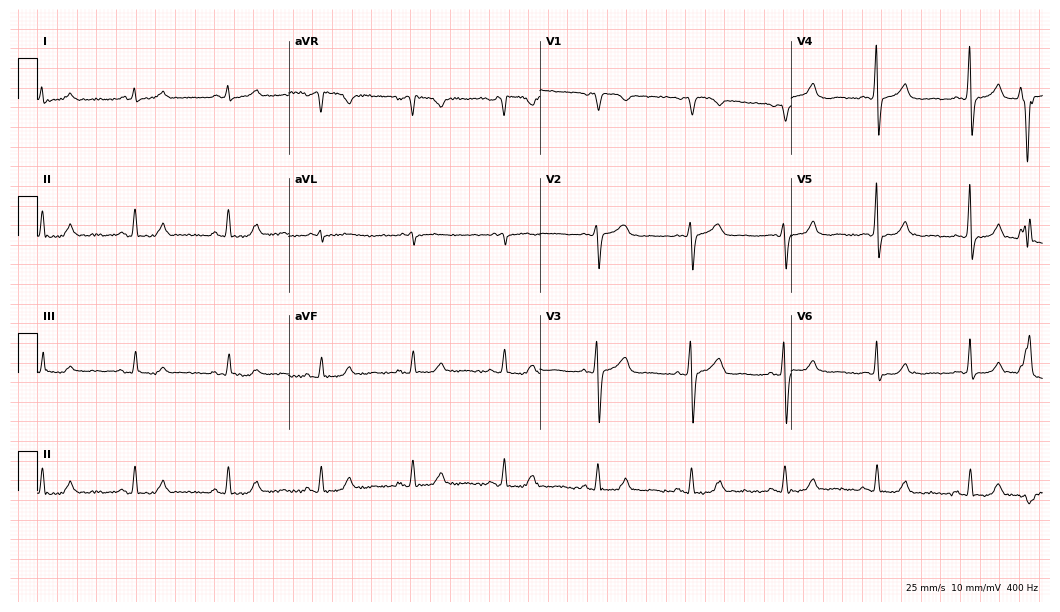
Electrocardiogram, a man, 75 years old. Overall reading on record: normal ECG.